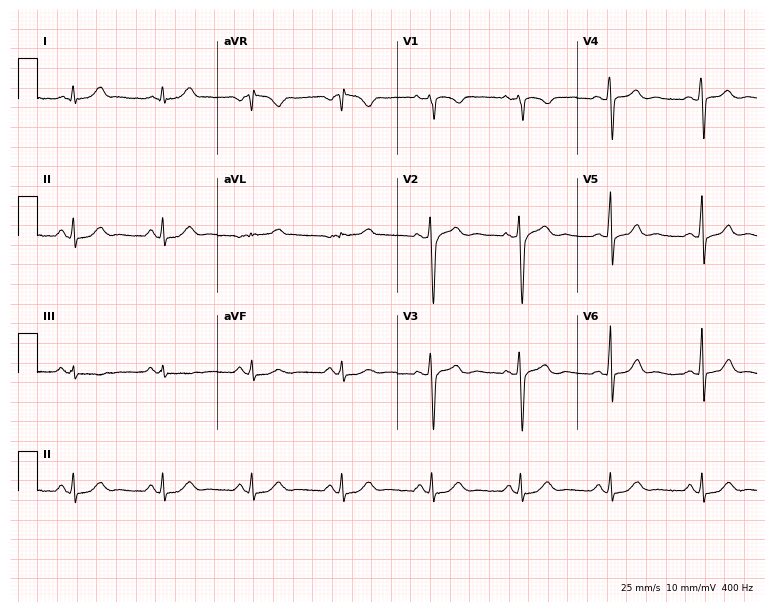
12-lead ECG from a man, 48 years old. No first-degree AV block, right bundle branch block, left bundle branch block, sinus bradycardia, atrial fibrillation or sinus tachycardia recorded for this tracing.